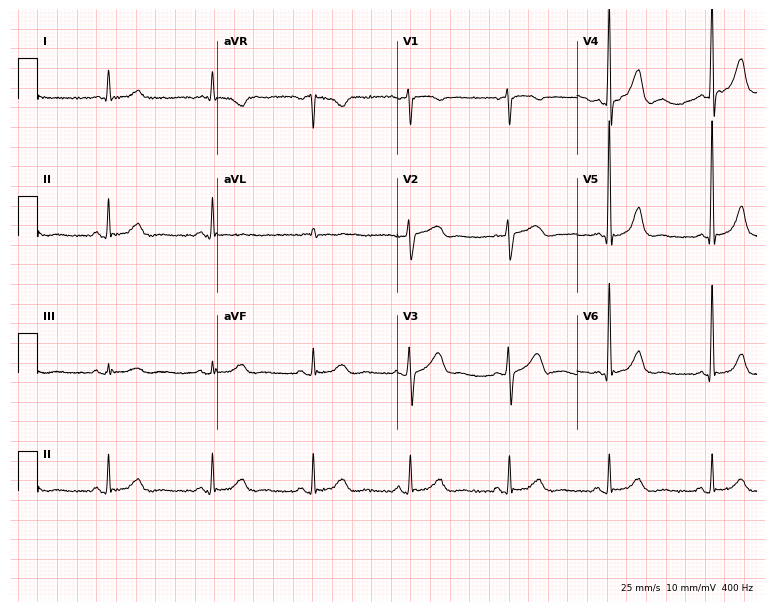
12-lead ECG from a 33-year-old male patient (7.3-second recording at 400 Hz). Recorded interpretation: within normal limits.